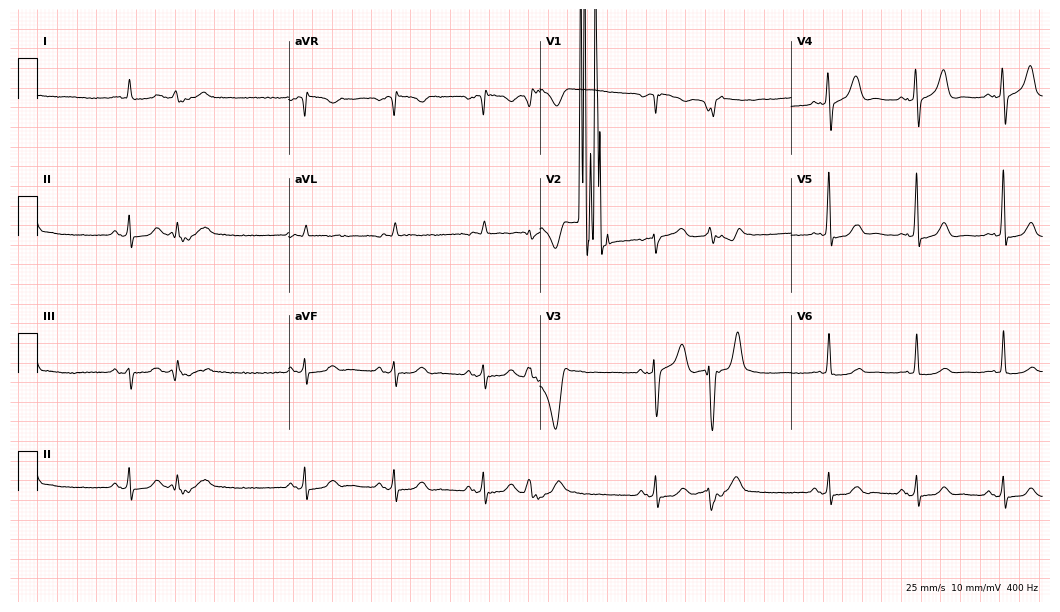
ECG (10.2-second recording at 400 Hz) — a male, 84 years old. Screened for six findings — first-degree AV block, right bundle branch block (RBBB), left bundle branch block (LBBB), sinus bradycardia, atrial fibrillation (AF), sinus tachycardia — none is recorded. Findings outside these six are not listed.